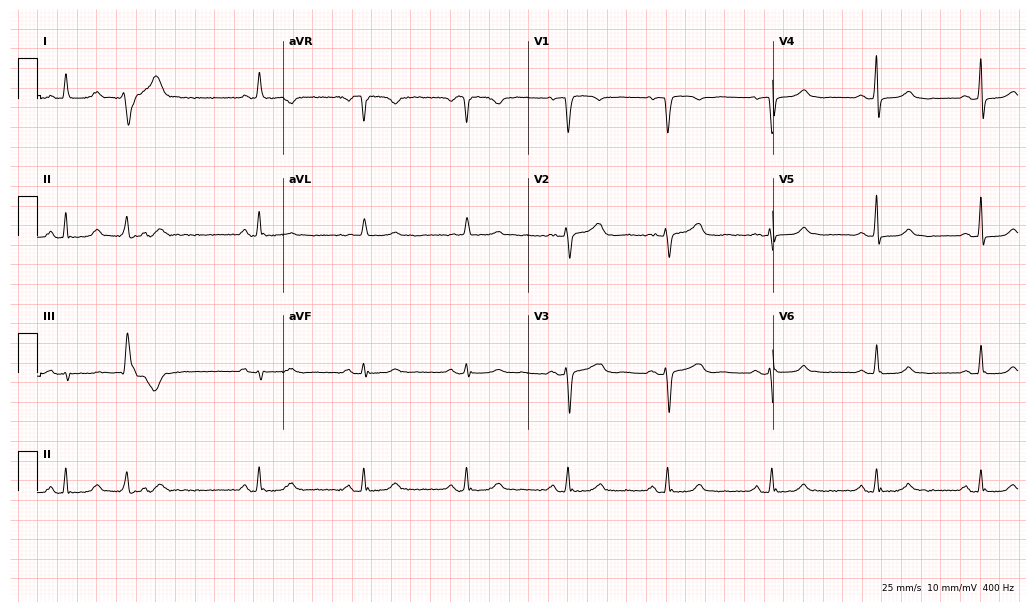
Electrocardiogram, a woman, 64 years old. Of the six screened findings (first-degree AV block, right bundle branch block (RBBB), left bundle branch block (LBBB), sinus bradycardia, atrial fibrillation (AF), sinus tachycardia), none is recorded.